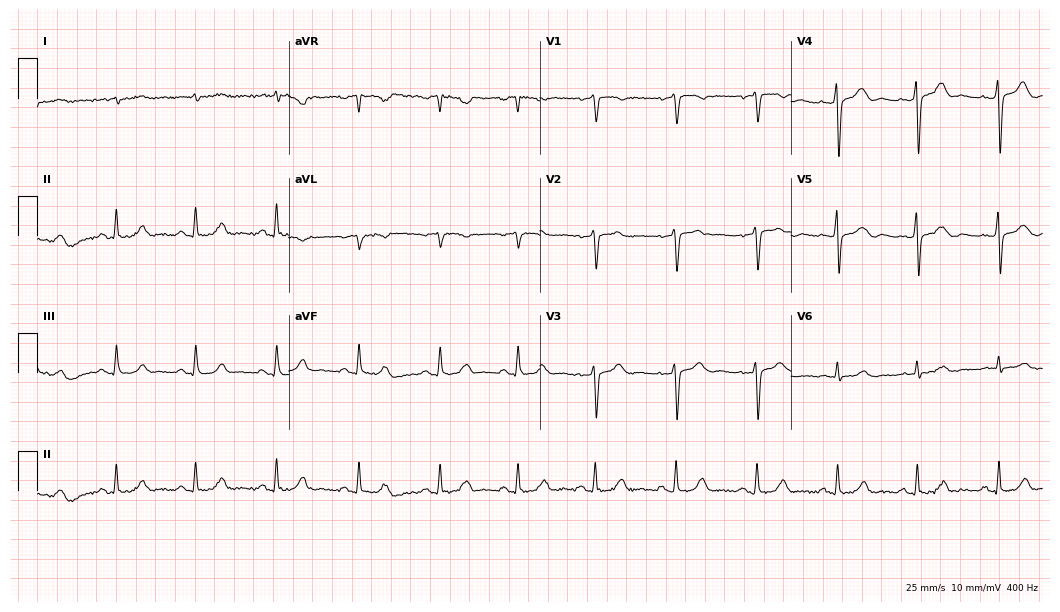
ECG — a 60-year-old man. Labelled as a normal ECG.